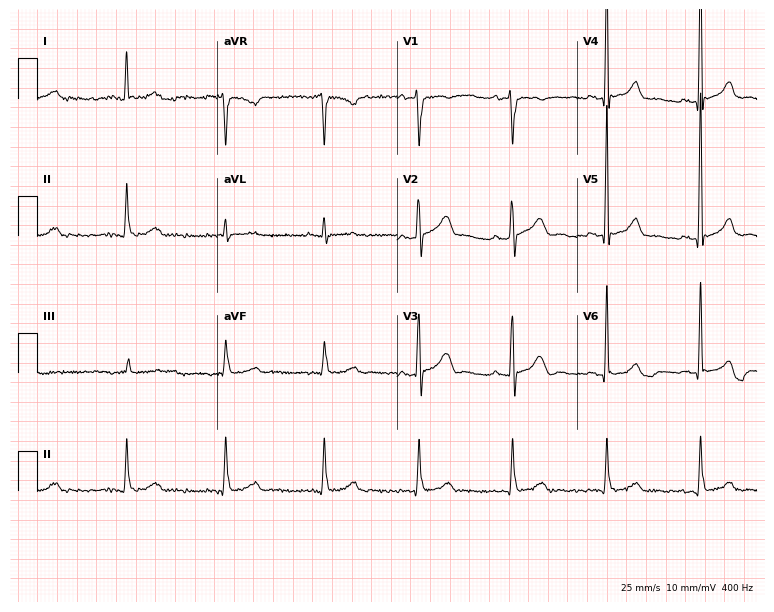
Resting 12-lead electrocardiogram (7.3-second recording at 400 Hz). Patient: a male, 82 years old. None of these six findings is recorded: first-degree AV block, right bundle branch block, left bundle branch block, sinus bradycardia, atrial fibrillation, sinus tachycardia. Findings outside these six are not listed.